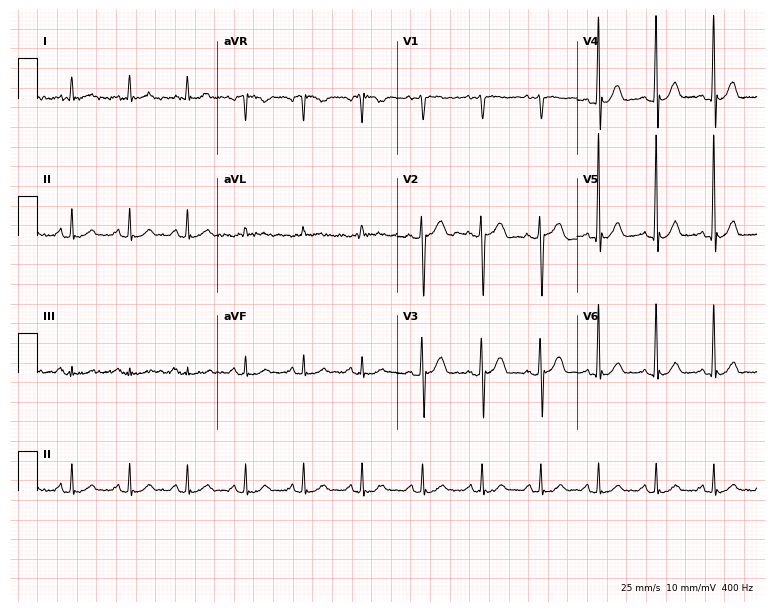
ECG (7.3-second recording at 400 Hz) — a man, 50 years old. Screened for six findings — first-degree AV block, right bundle branch block (RBBB), left bundle branch block (LBBB), sinus bradycardia, atrial fibrillation (AF), sinus tachycardia — none is recorded.